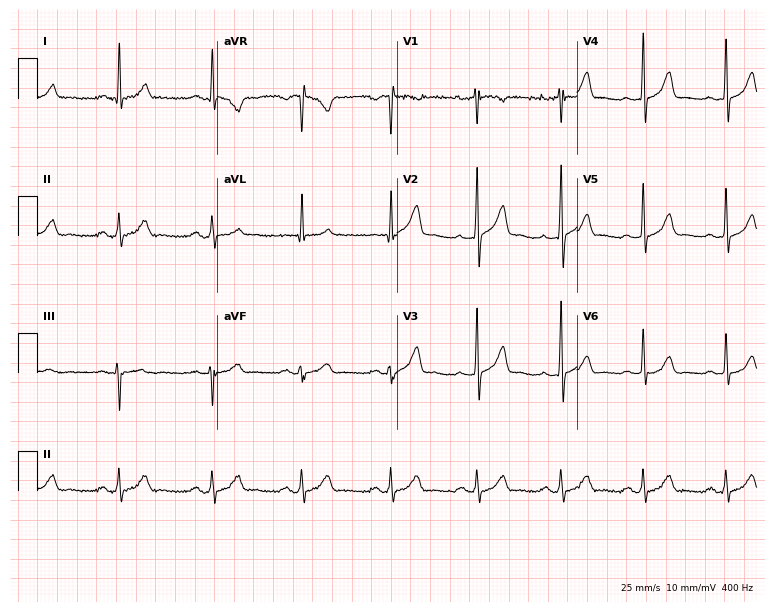
ECG — a 46-year-old male. Screened for six findings — first-degree AV block, right bundle branch block, left bundle branch block, sinus bradycardia, atrial fibrillation, sinus tachycardia — none is recorded. Other findings, if any, are not listed.